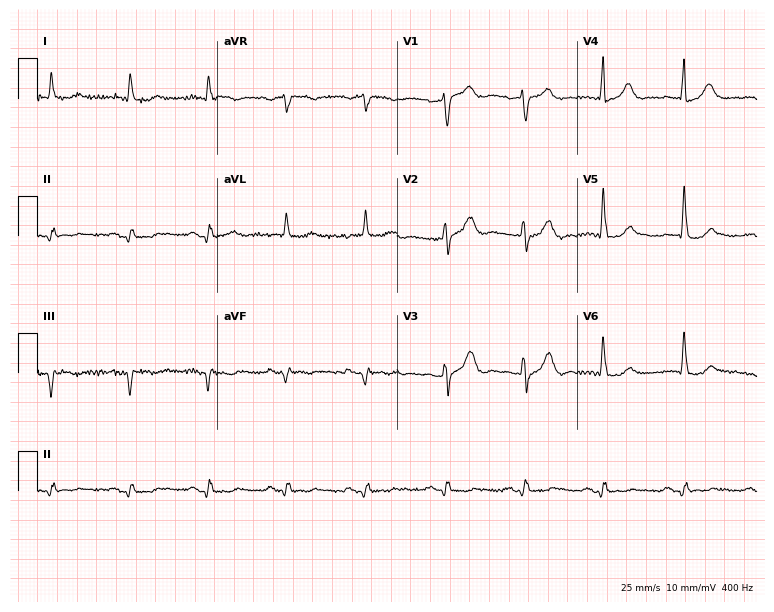
Resting 12-lead electrocardiogram (7.3-second recording at 400 Hz). Patient: an 80-year-old male. None of these six findings is recorded: first-degree AV block, right bundle branch block, left bundle branch block, sinus bradycardia, atrial fibrillation, sinus tachycardia.